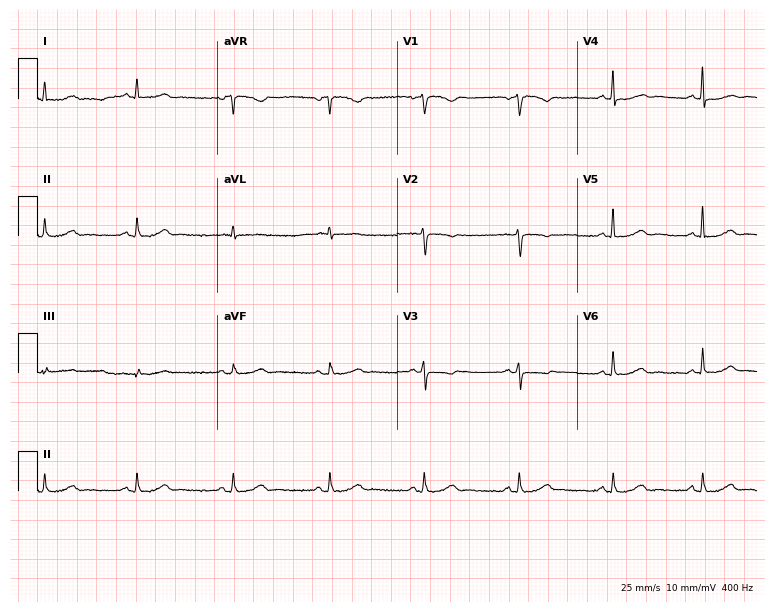
ECG — a 57-year-old female. Screened for six findings — first-degree AV block, right bundle branch block, left bundle branch block, sinus bradycardia, atrial fibrillation, sinus tachycardia — none is recorded. Findings outside these six are not listed.